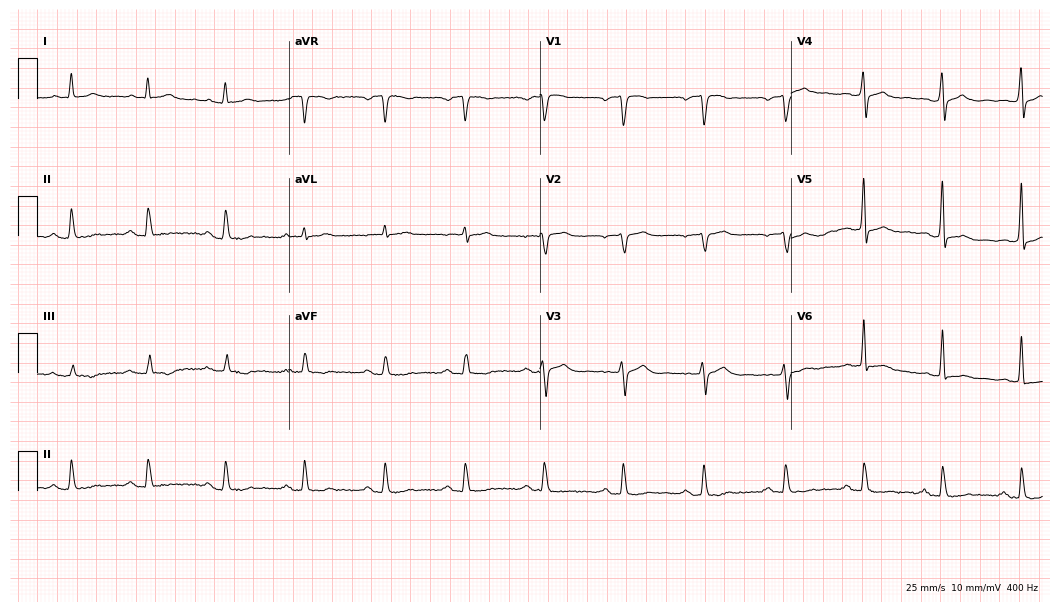
Electrocardiogram (10.2-second recording at 400 Hz), a 76-year-old male. Of the six screened findings (first-degree AV block, right bundle branch block (RBBB), left bundle branch block (LBBB), sinus bradycardia, atrial fibrillation (AF), sinus tachycardia), none is recorded. Only these six findings were labelled.